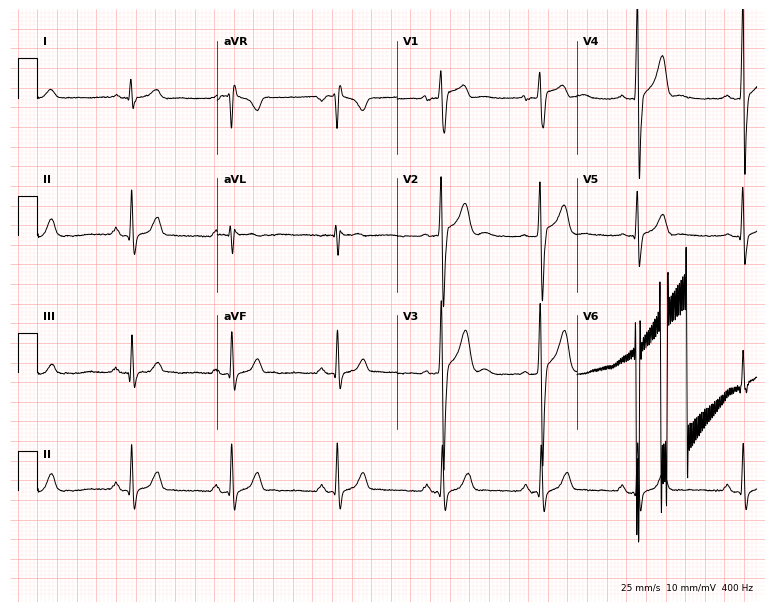
ECG — a male, 19 years old. Labelled as a normal ECG.